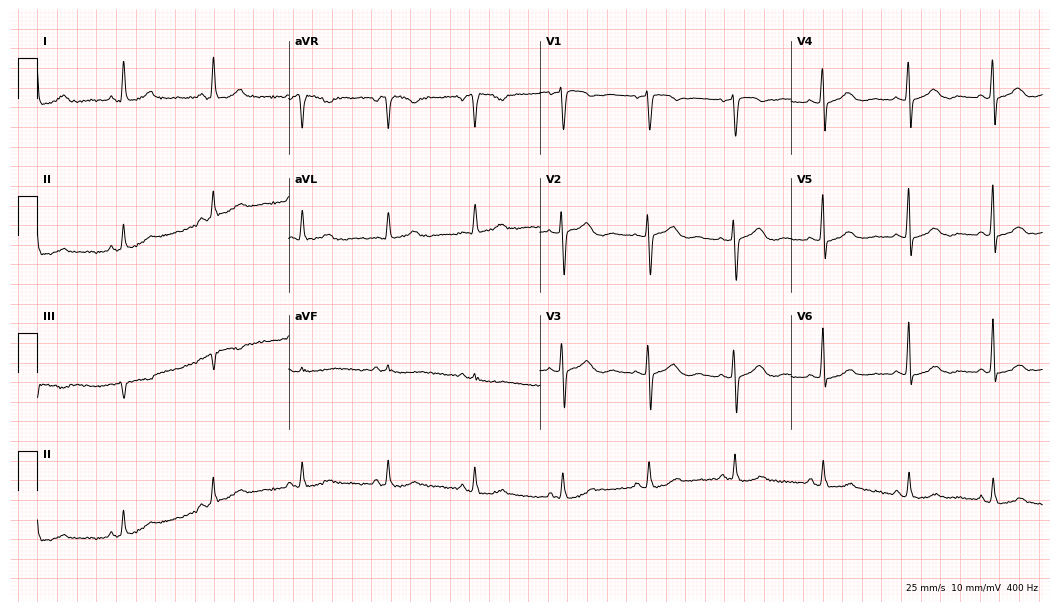
Electrocardiogram (10.2-second recording at 400 Hz), a 62-year-old female. Overall reading on record: normal ECG.